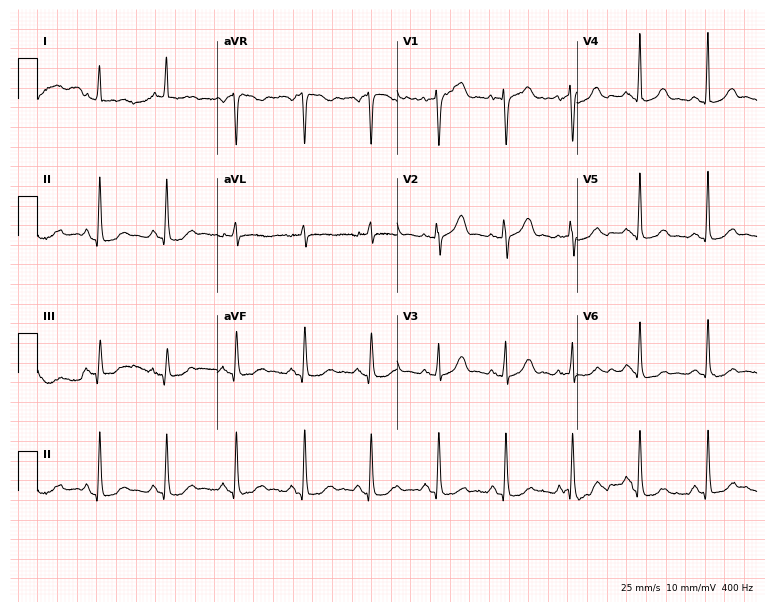
ECG (7.3-second recording at 400 Hz) — a 74-year-old female patient. Screened for six findings — first-degree AV block, right bundle branch block, left bundle branch block, sinus bradycardia, atrial fibrillation, sinus tachycardia — none is recorded.